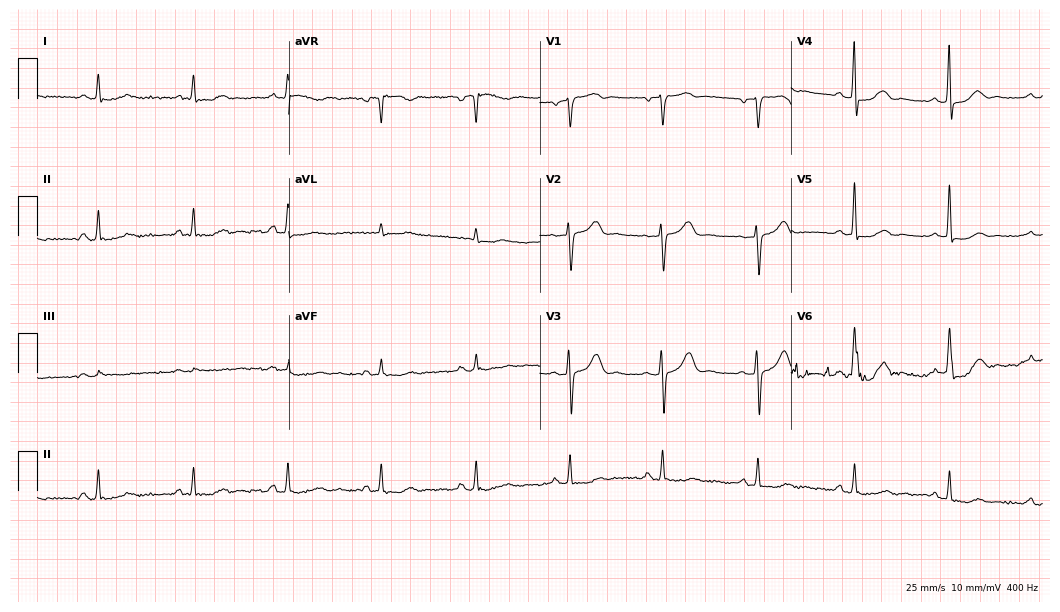
12-lead ECG from a 71-year-old male patient (10.2-second recording at 400 Hz). Recorded interpretation: within normal limits.